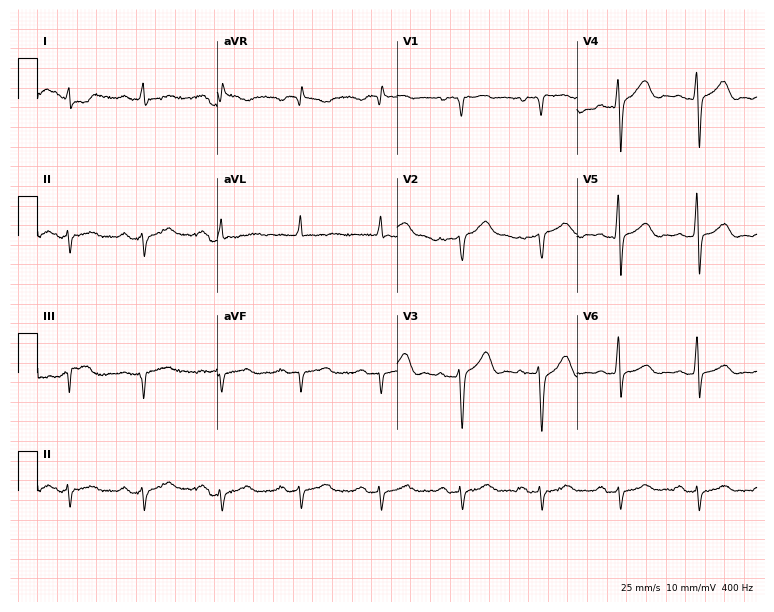
Resting 12-lead electrocardiogram (7.3-second recording at 400 Hz). Patient: a 69-year-old man. Read as a normal ECG.